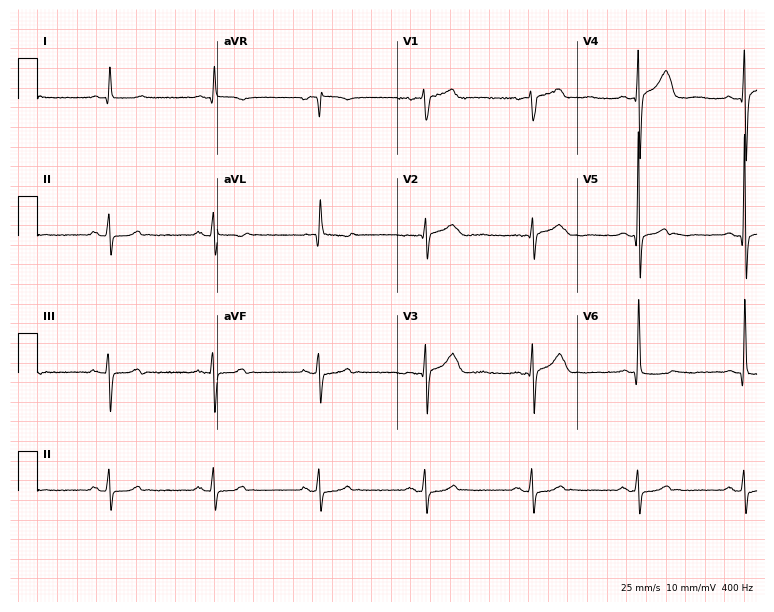
Electrocardiogram (7.3-second recording at 400 Hz), an 83-year-old male. Of the six screened findings (first-degree AV block, right bundle branch block, left bundle branch block, sinus bradycardia, atrial fibrillation, sinus tachycardia), none is recorded. Findings outside these six are not listed.